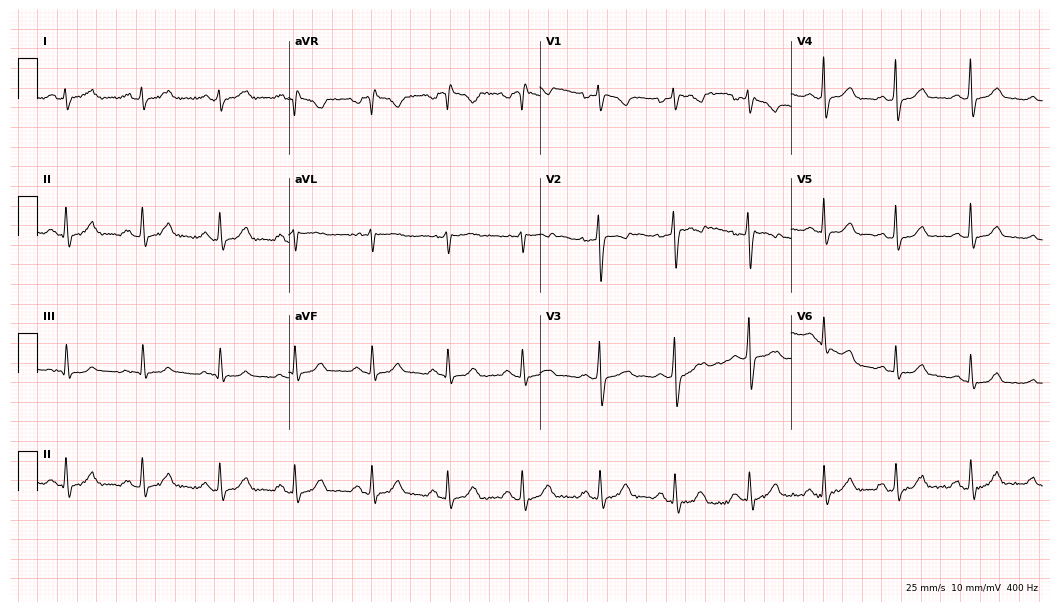
Standard 12-lead ECG recorded from a 29-year-old female patient (10.2-second recording at 400 Hz). None of these six findings is recorded: first-degree AV block, right bundle branch block (RBBB), left bundle branch block (LBBB), sinus bradycardia, atrial fibrillation (AF), sinus tachycardia. Only these six findings were labelled.